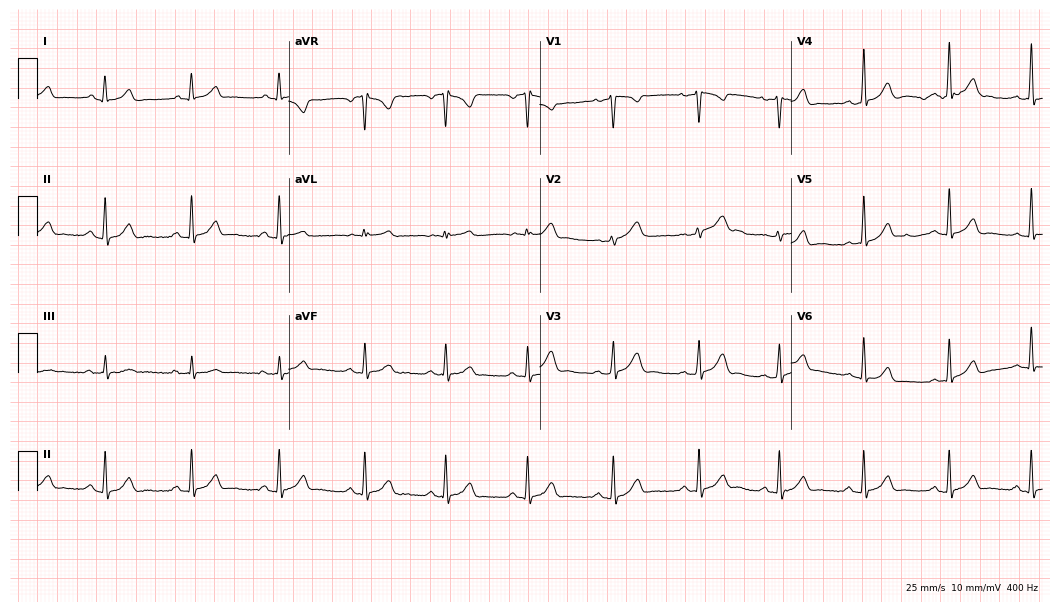
12-lead ECG from a woman, 36 years old (10.2-second recording at 400 Hz). Recorded interpretation: within normal limits.